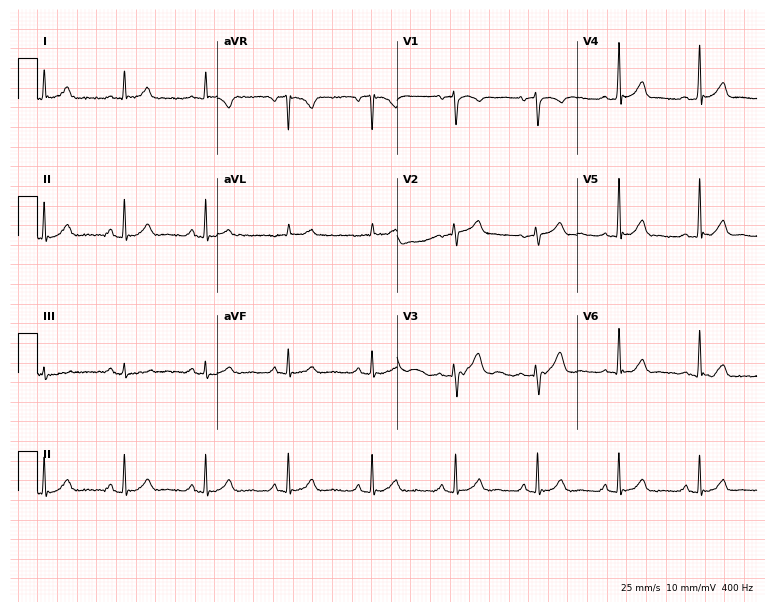
12-lead ECG from a 44-year-old man. No first-degree AV block, right bundle branch block (RBBB), left bundle branch block (LBBB), sinus bradycardia, atrial fibrillation (AF) or sinus tachycardia recorded for this tracing.